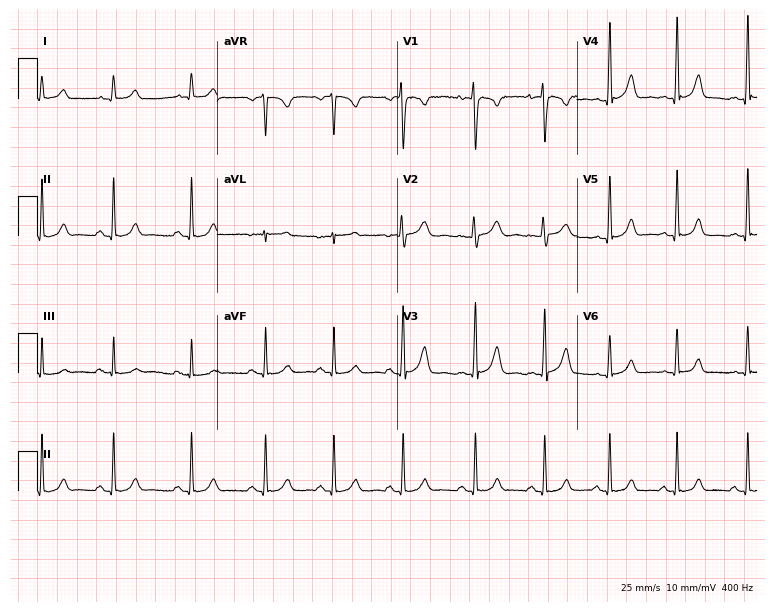
12-lead ECG (7.3-second recording at 400 Hz) from a female, 28 years old. Screened for six findings — first-degree AV block, right bundle branch block, left bundle branch block, sinus bradycardia, atrial fibrillation, sinus tachycardia — none is recorded. Only these six findings were labelled.